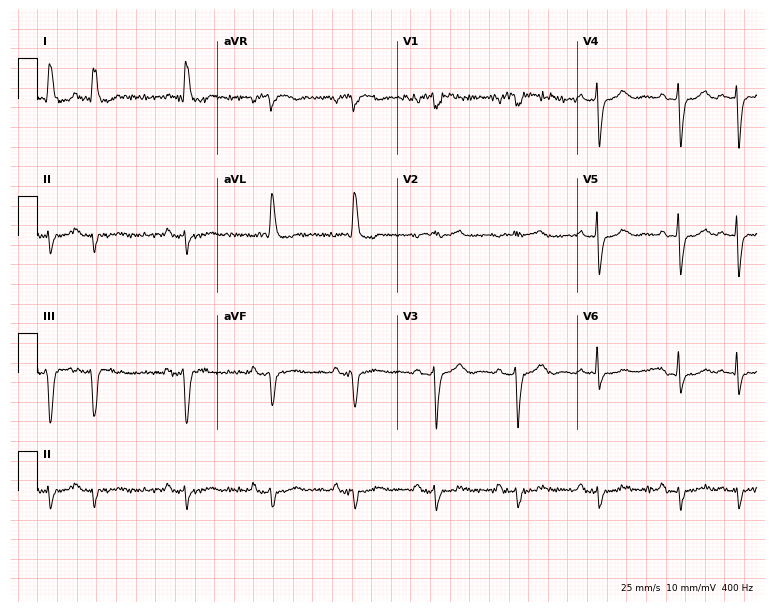
ECG (7.3-second recording at 400 Hz) — an 84-year-old female. Screened for six findings — first-degree AV block, right bundle branch block, left bundle branch block, sinus bradycardia, atrial fibrillation, sinus tachycardia — none is recorded.